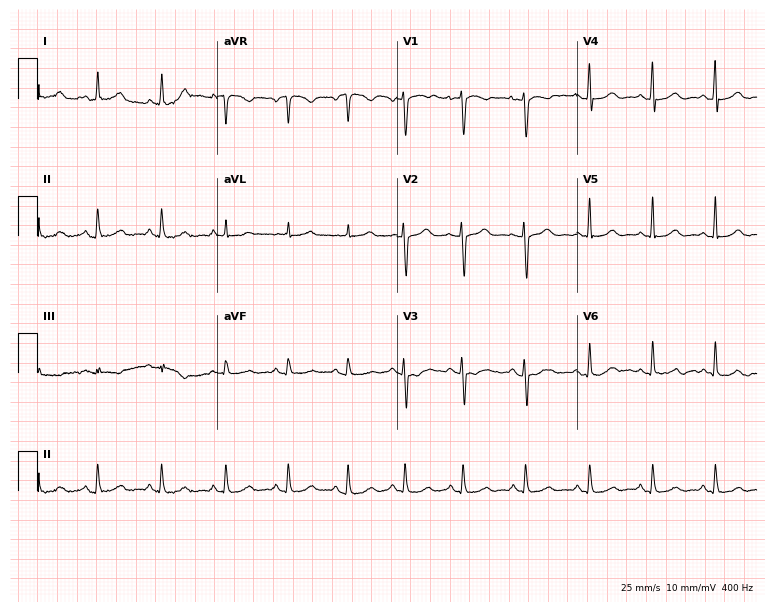
Standard 12-lead ECG recorded from a 39-year-old woman (7.3-second recording at 400 Hz). Read as a normal ECG.